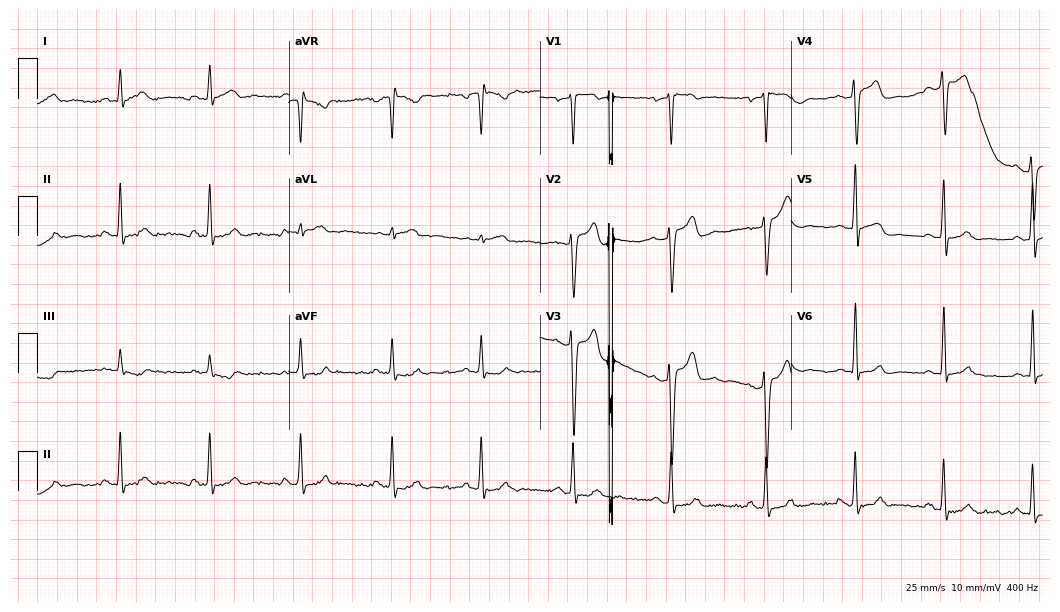
Electrocardiogram (10.2-second recording at 400 Hz), a 35-year-old male patient. Overall reading on record: normal ECG.